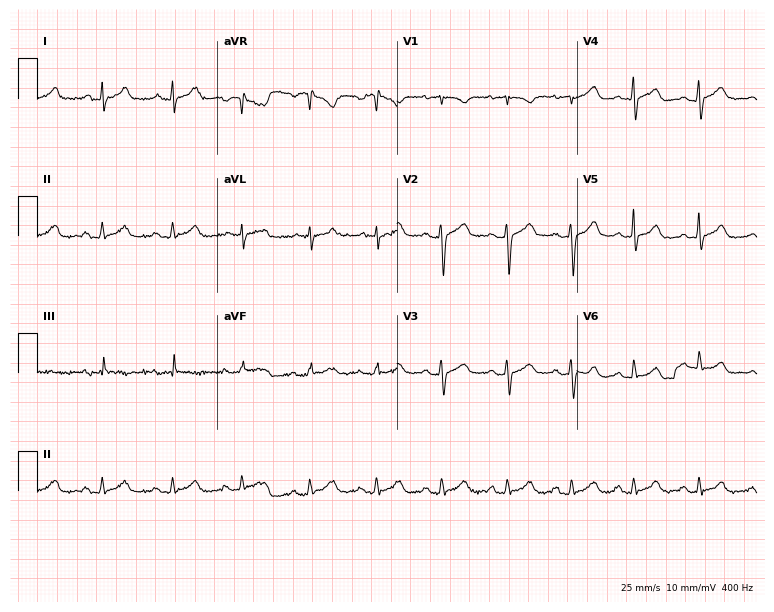
ECG — a 19-year-old woman. Screened for six findings — first-degree AV block, right bundle branch block (RBBB), left bundle branch block (LBBB), sinus bradycardia, atrial fibrillation (AF), sinus tachycardia — none is recorded.